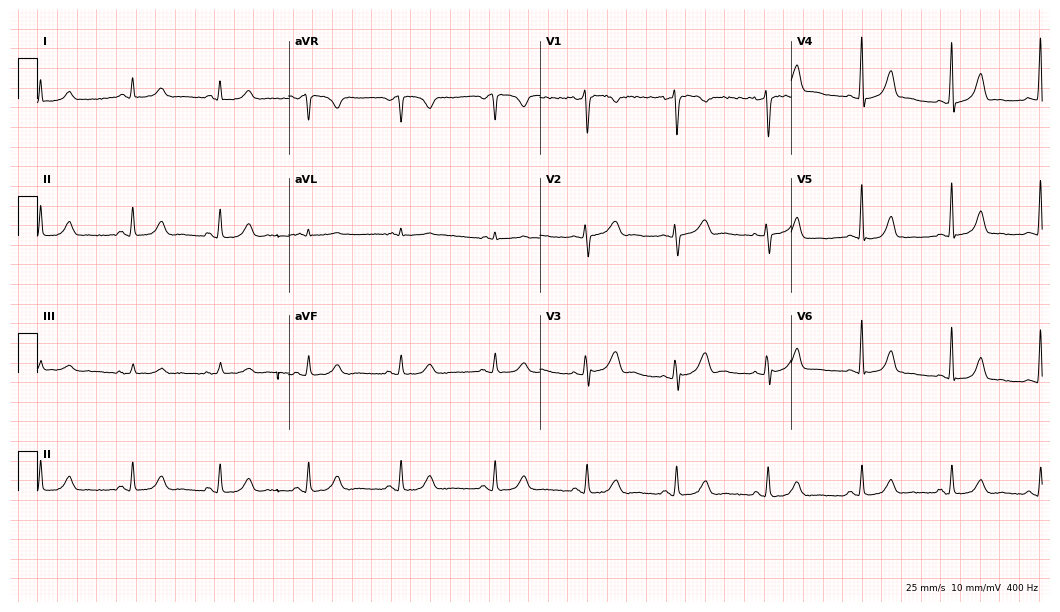
12-lead ECG from a female, 38 years old. Recorded interpretation: within normal limits.